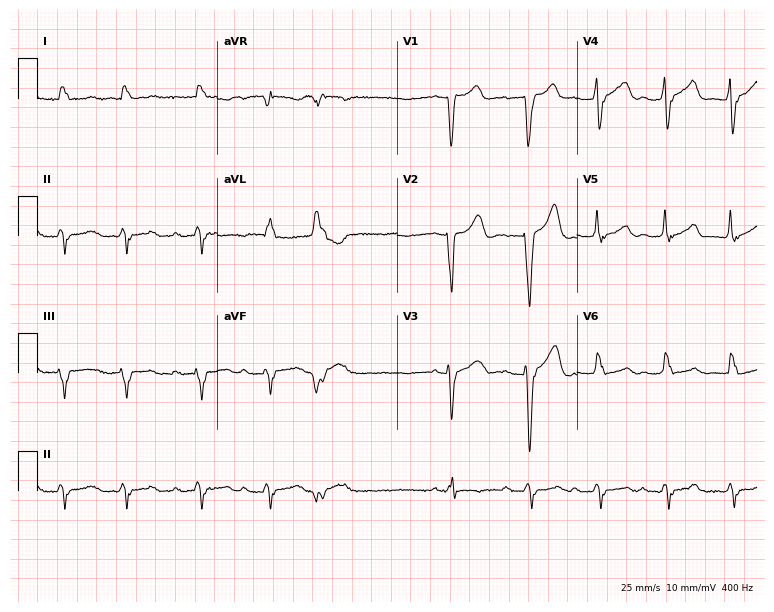
Standard 12-lead ECG recorded from a man, 74 years old. The tracing shows first-degree AV block.